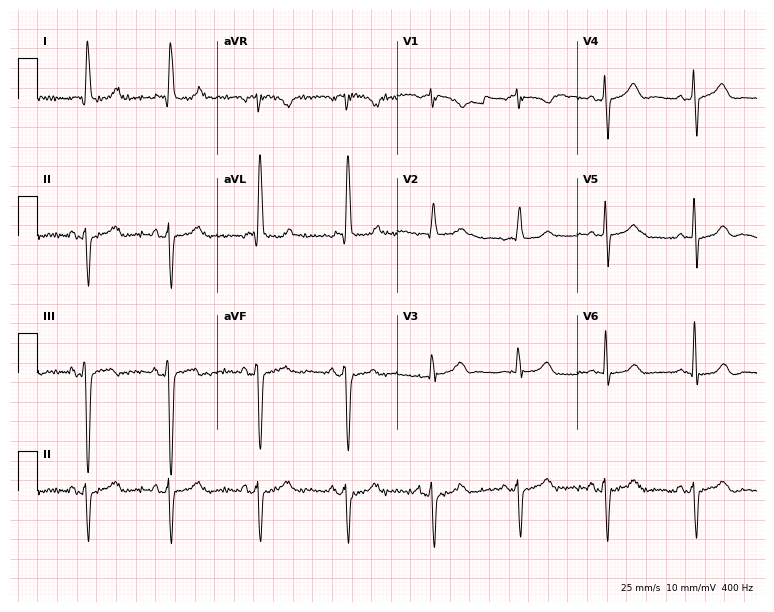
ECG (7.3-second recording at 400 Hz) — a 77-year-old female. Screened for six findings — first-degree AV block, right bundle branch block, left bundle branch block, sinus bradycardia, atrial fibrillation, sinus tachycardia — none is recorded.